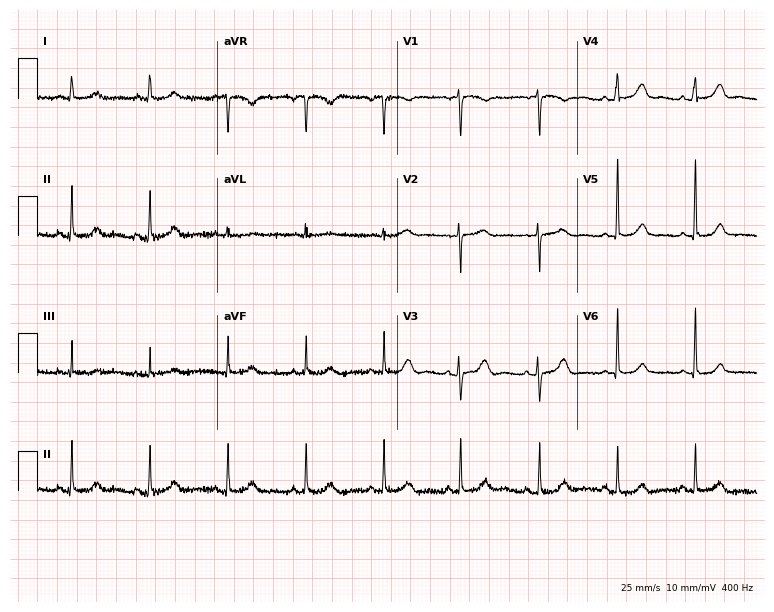
12-lead ECG from a 70-year-old female patient. Recorded interpretation: within normal limits.